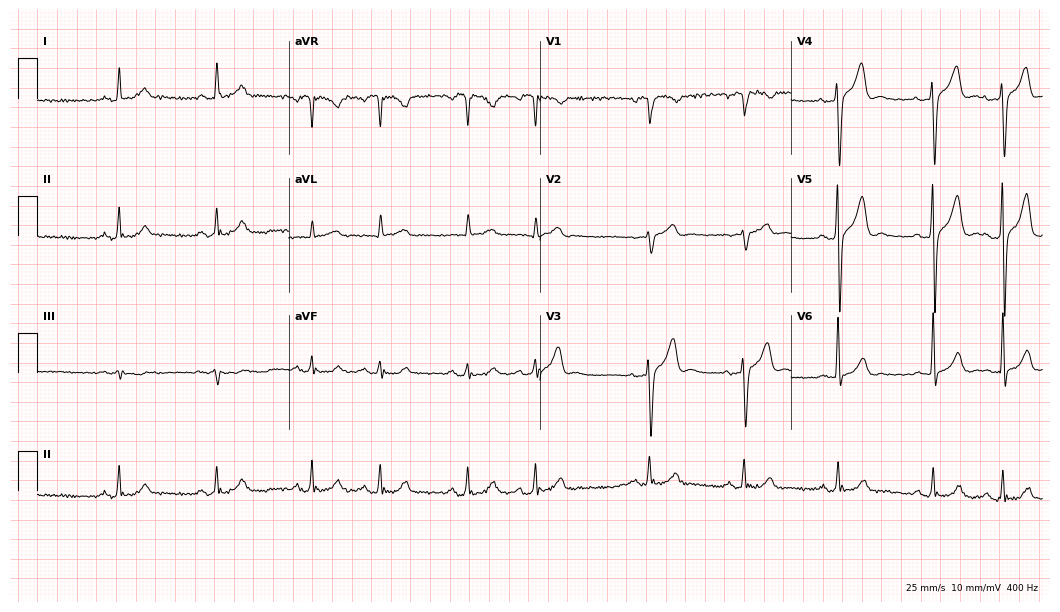
12-lead ECG from a 58-year-old man. Screened for six findings — first-degree AV block, right bundle branch block, left bundle branch block, sinus bradycardia, atrial fibrillation, sinus tachycardia — none is recorded.